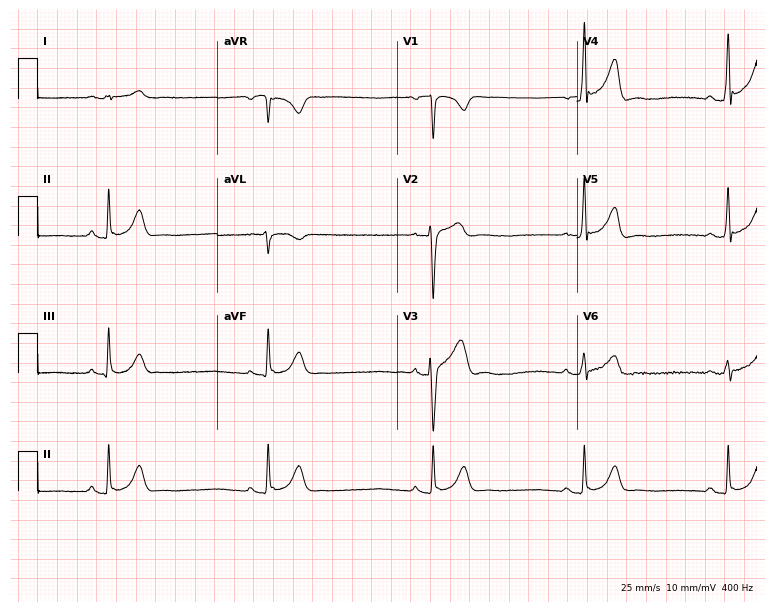
Resting 12-lead electrocardiogram (7.3-second recording at 400 Hz). Patient: a male, 33 years old. None of these six findings is recorded: first-degree AV block, right bundle branch block, left bundle branch block, sinus bradycardia, atrial fibrillation, sinus tachycardia.